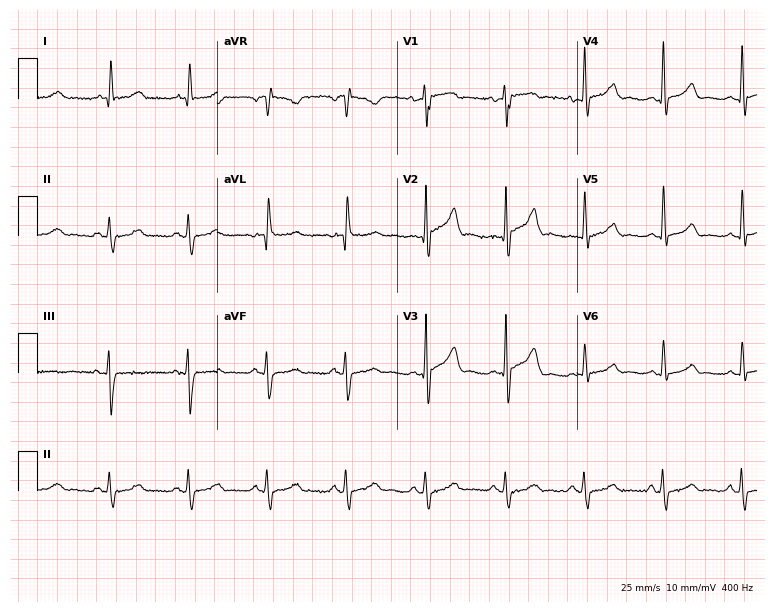
Standard 12-lead ECG recorded from a 77-year-old man. Read as a normal ECG.